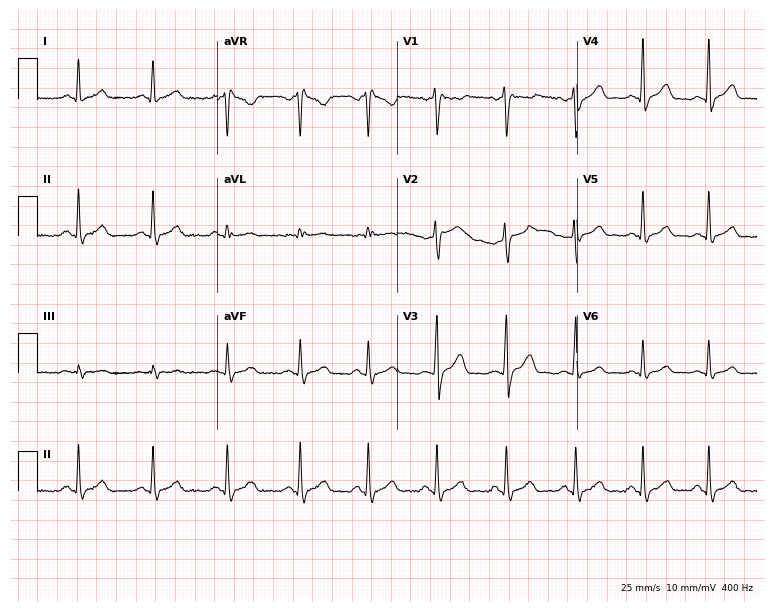
ECG (7.3-second recording at 400 Hz) — a 25-year-old female patient. Screened for six findings — first-degree AV block, right bundle branch block, left bundle branch block, sinus bradycardia, atrial fibrillation, sinus tachycardia — none is recorded. Only these six findings were labelled.